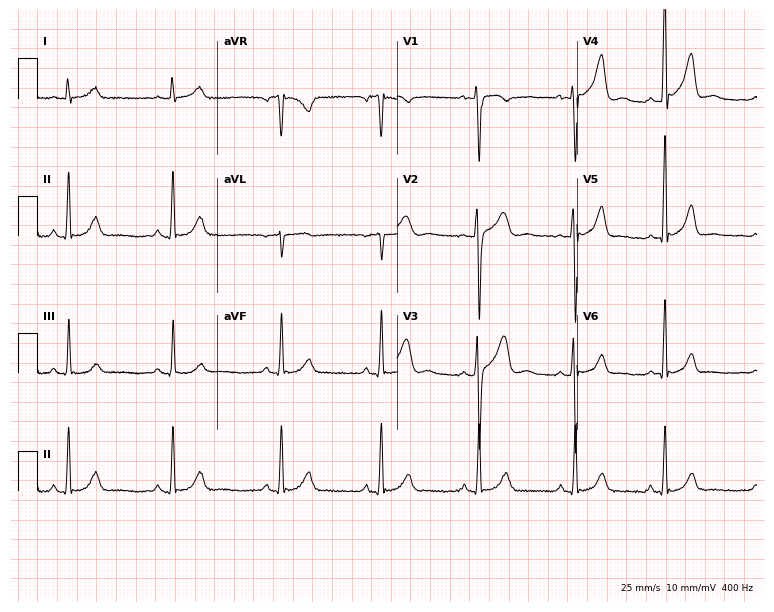
ECG (7.3-second recording at 400 Hz) — a 17-year-old male patient. Screened for six findings — first-degree AV block, right bundle branch block (RBBB), left bundle branch block (LBBB), sinus bradycardia, atrial fibrillation (AF), sinus tachycardia — none is recorded. Other findings, if any, are not listed.